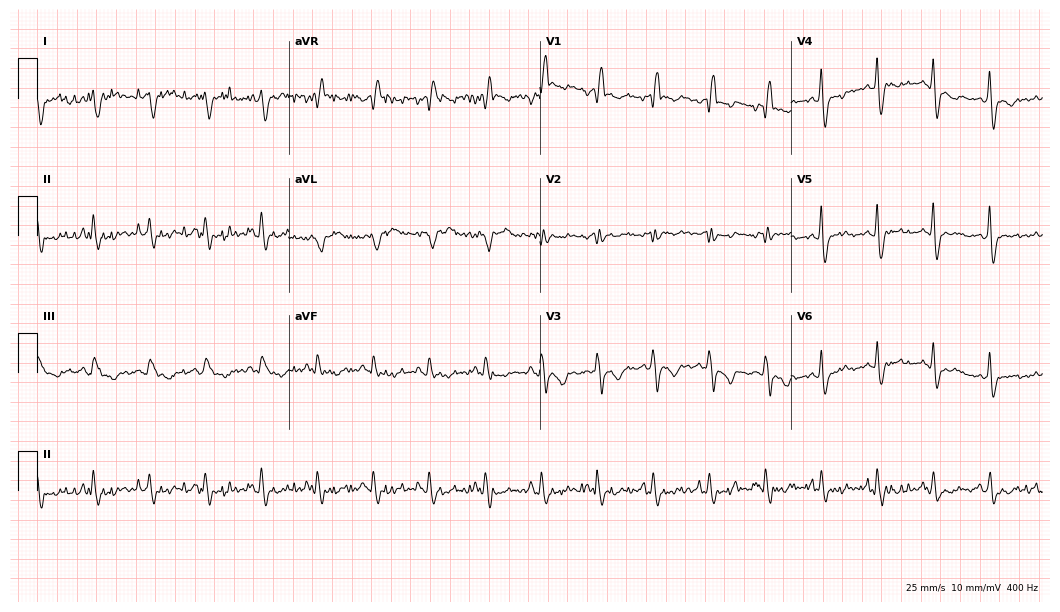
12-lead ECG from a female patient, 81 years old. No first-degree AV block, right bundle branch block (RBBB), left bundle branch block (LBBB), sinus bradycardia, atrial fibrillation (AF) or sinus tachycardia recorded for this tracing.